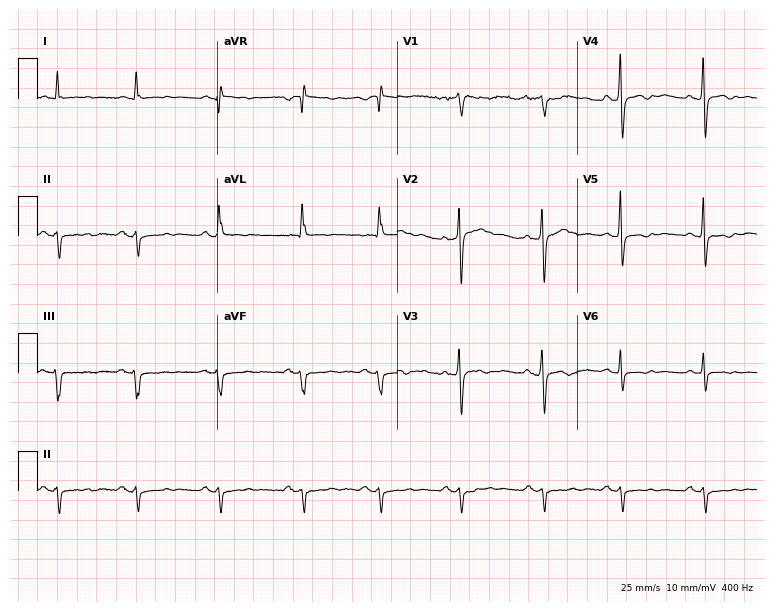
12-lead ECG (7.3-second recording at 400 Hz) from a man, 57 years old. Screened for six findings — first-degree AV block, right bundle branch block, left bundle branch block, sinus bradycardia, atrial fibrillation, sinus tachycardia — none is recorded.